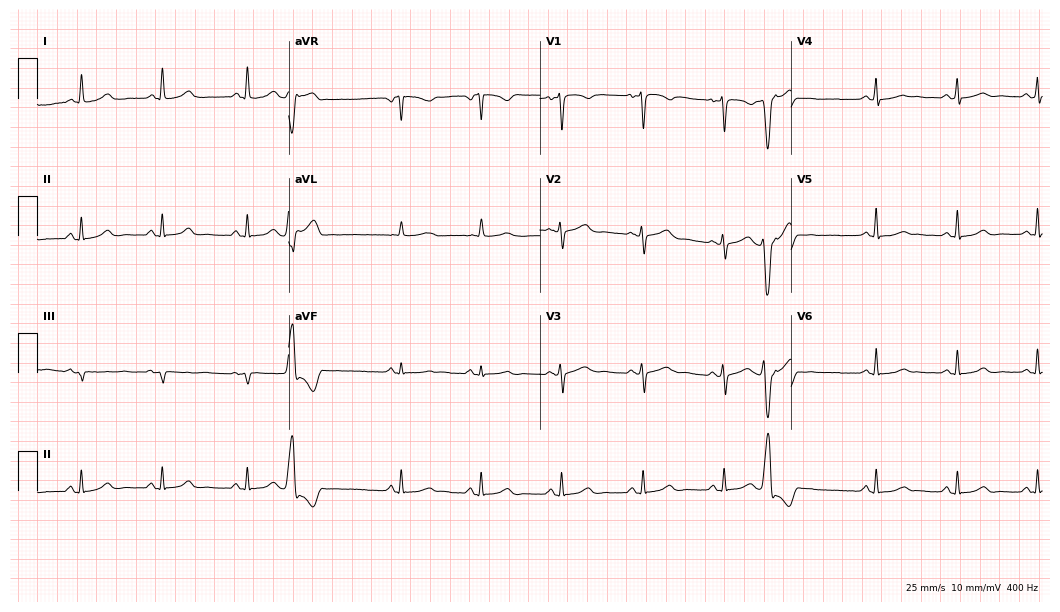
Standard 12-lead ECG recorded from a woman, 38 years old (10.2-second recording at 400 Hz). None of these six findings is recorded: first-degree AV block, right bundle branch block (RBBB), left bundle branch block (LBBB), sinus bradycardia, atrial fibrillation (AF), sinus tachycardia. Other findings, if any, are not listed.